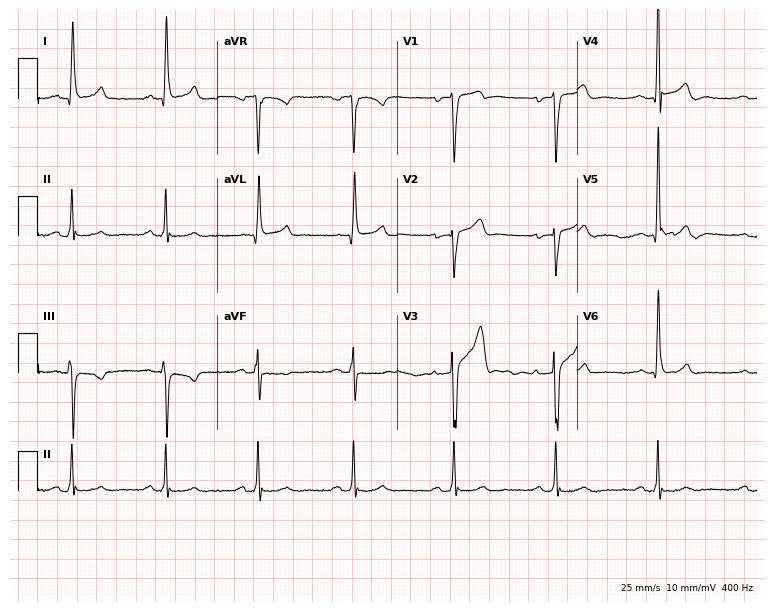
12-lead ECG from a 46-year-old male. No first-degree AV block, right bundle branch block, left bundle branch block, sinus bradycardia, atrial fibrillation or sinus tachycardia recorded for this tracing. Findings outside these six are not listed.